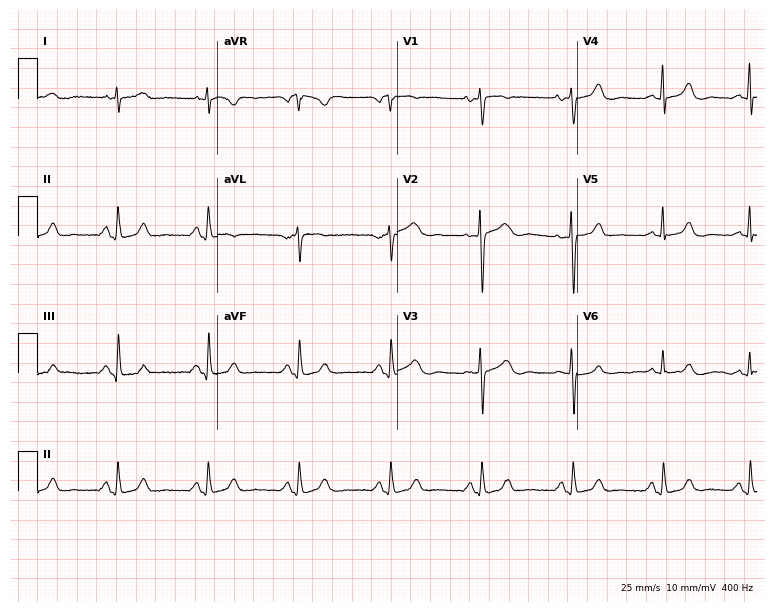
Resting 12-lead electrocardiogram. Patient: a 43-year-old female. None of these six findings is recorded: first-degree AV block, right bundle branch block, left bundle branch block, sinus bradycardia, atrial fibrillation, sinus tachycardia. Other findings, if any, are not listed.